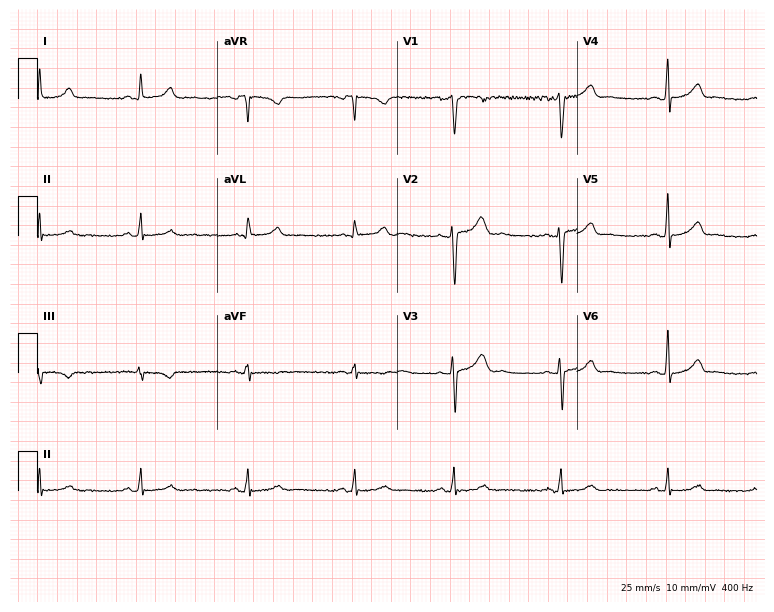
12-lead ECG from a 35-year-old woman. Screened for six findings — first-degree AV block, right bundle branch block (RBBB), left bundle branch block (LBBB), sinus bradycardia, atrial fibrillation (AF), sinus tachycardia — none is recorded. Findings outside these six are not listed.